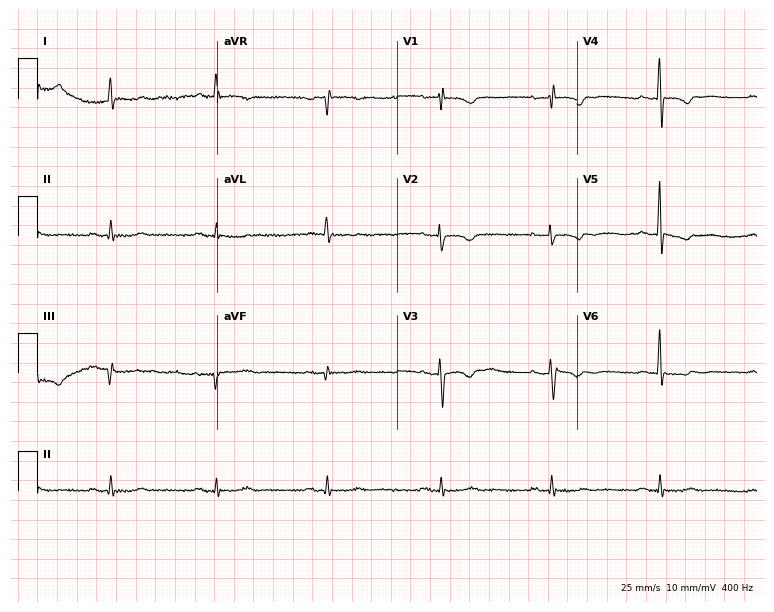
Resting 12-lead electrocardiogram (7.3-second recording at 400 Hz). Patient: a female, 76 years old. Read as a normal ECG.